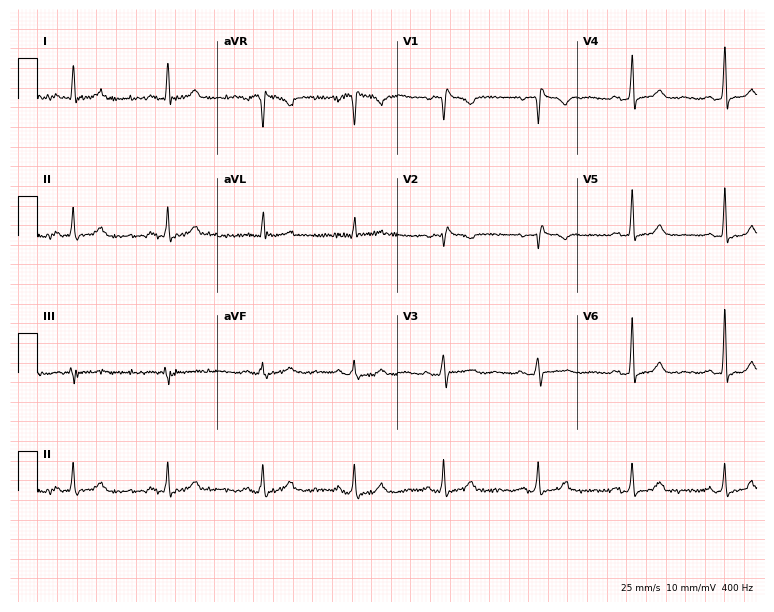
12-lead ECG from a 50-year-old male. Screened for six findings — first-degree AV block, right bundle branch block, left bundle branch block, sinus bradycardia, atrial fibrillation, sinus tachycardia — none is recorded. Other findings, if any, are not listed.